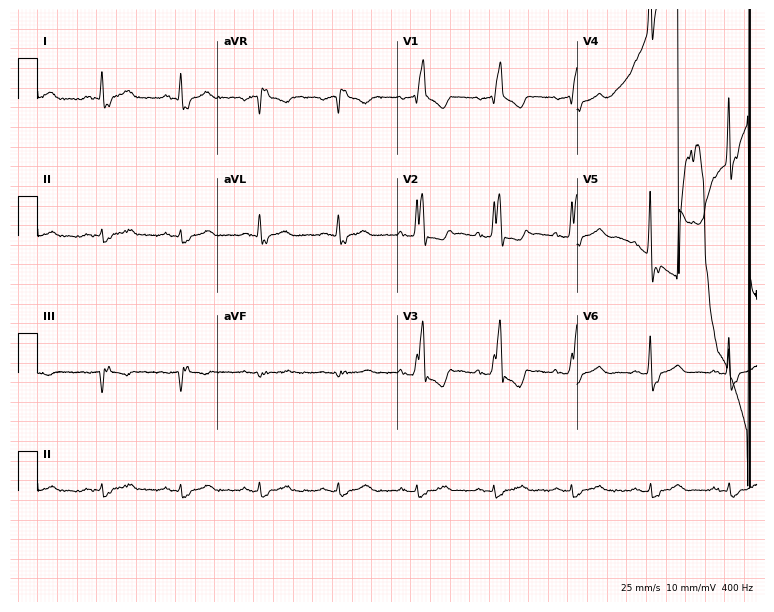
ECG (7.3-second recording at 400 Hz) — an 80-year-old male patient. Findings include right bundle branch block (RBBB).